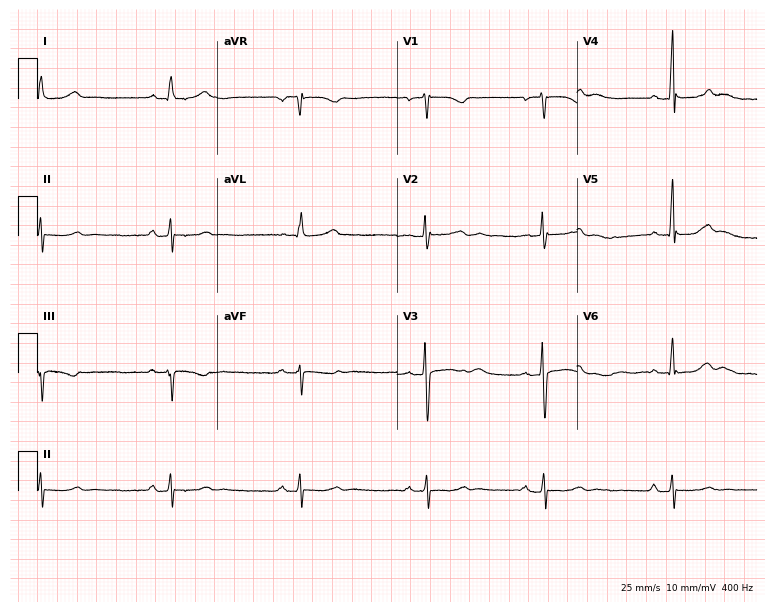
Standard 12-lead ECG recorded from a 21-year-old female patient. None of these six findings is recorded: first-degree AV block, right bundle branch block, left bundle branch block, sinus bradycardia, atrial fibrillation, sinus tachycardia.